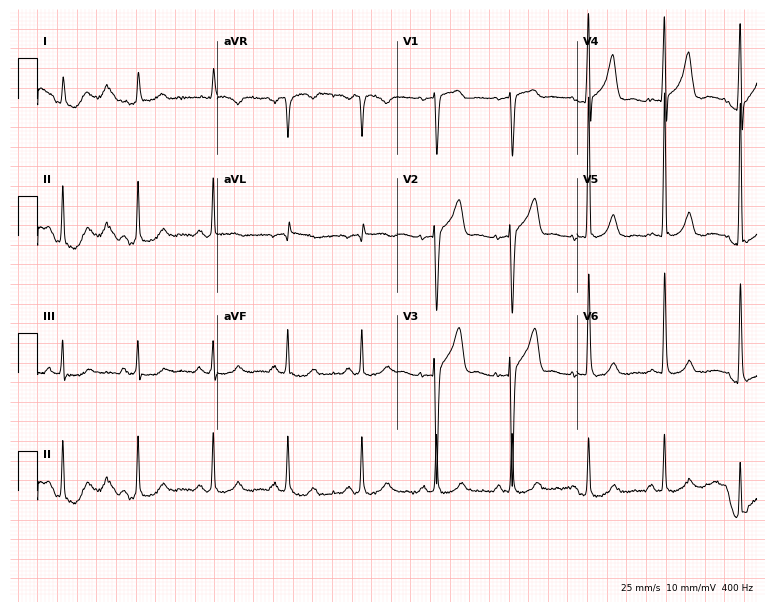
12-lead ECG from a 59-year-old man (7.3-second recording at 400 Hz). No first-degree AV block, right bundle branch block (RBBB), left bundle branch block (LBBB), sinus bradycardia, atrial fibrillation (AF) or sinus tachycardia recorded for this tracing. Only these six findings were labelled.